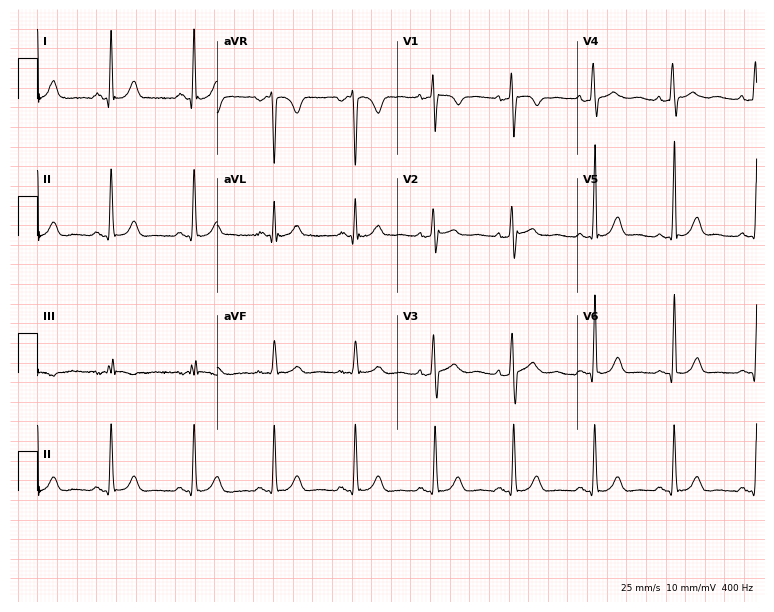
12-lead ECG from a 30-year-old woman. Recorded interpretation: within normal limits.